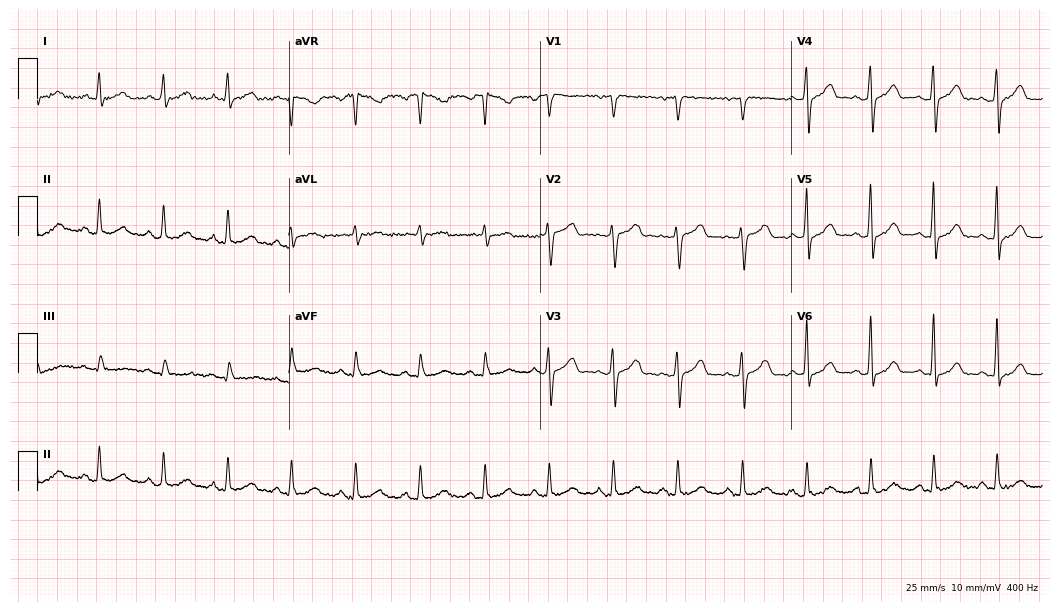
12-lead ECG from a female patient, 62 years old. Recorded interpretation: within normal limits.